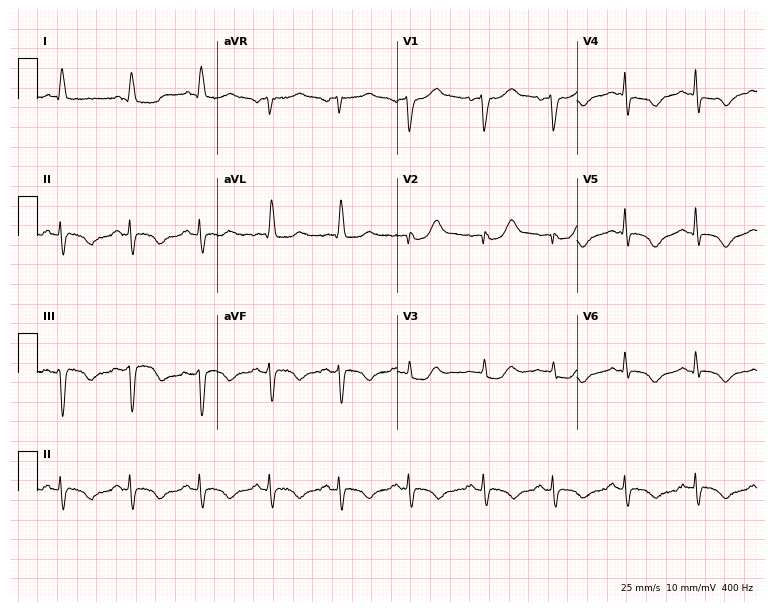
12-lead ECG from a female, 80 years old. Screened for six findings — first-degree AV block, right bundle branch block, left bundle branch block, sinus bradycardia, atrial fibrillation, sinus tachycardia — none is recorded. Only these six findings were labelled.